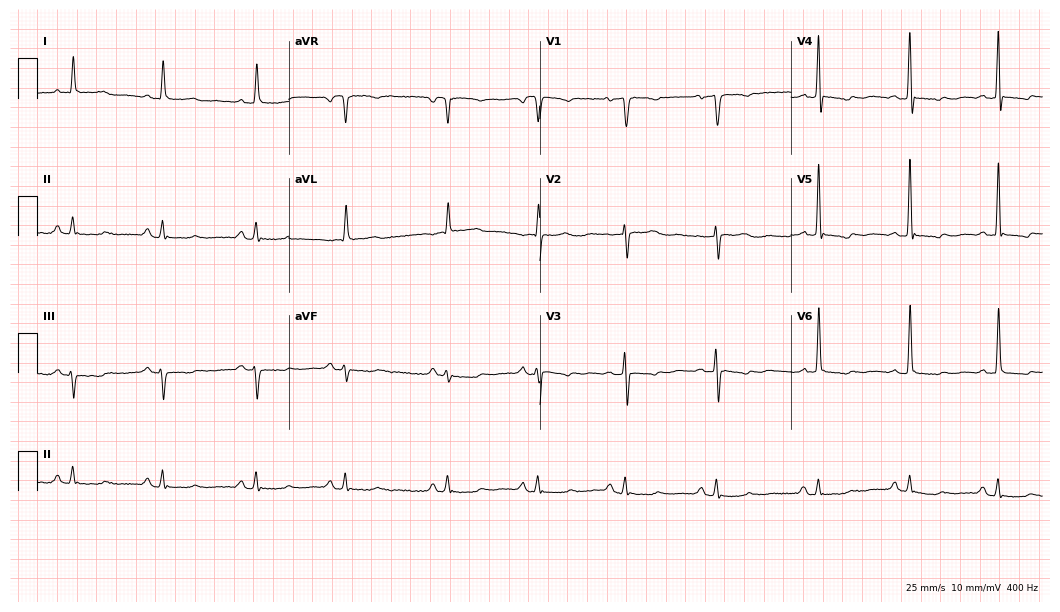
ECG — a female patient, 84 years old. Screened for six findings — first-degree AV block, right bundle branch block, left bundle branch block, sinus bradycardia, atrial fibrillation, sinus tachycardia — none is recorded.